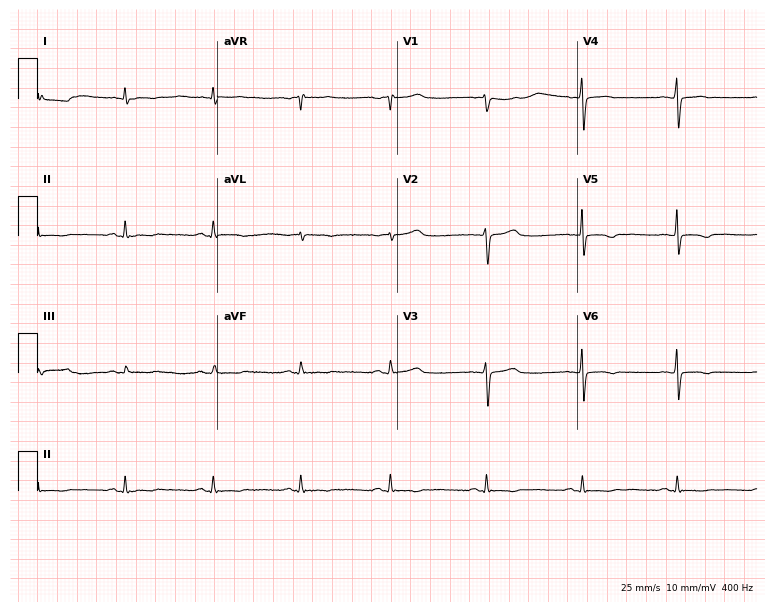
12-lead ECG (7.3-second recording at 400 Hz) from a 31-year-old male patient. Screened for six findings — first-degree AV block, right bundle branch block, left bundle branch block, sinus bradycardia, atrial fibrillation, sinus tachycardia — none is recorded.